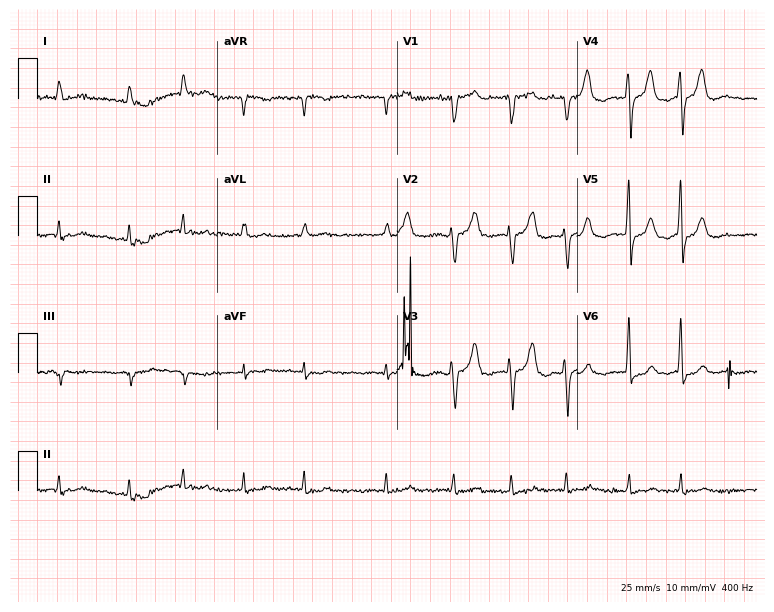
12-lead ECG from an 83-year-old male (7.3-second recording at 400 Hz). Shows atrial fibrillation.